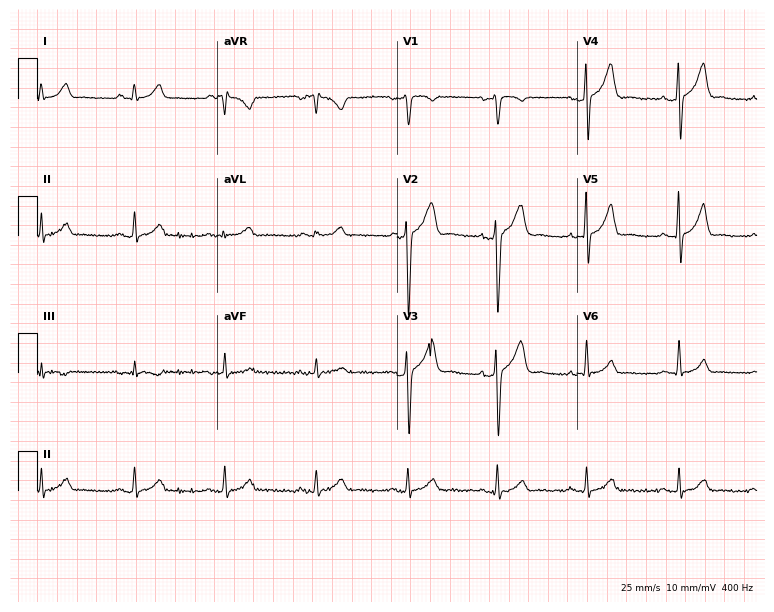
12-lead ECG (7.3-second recording at 400 Hz) from a man, 48 years old. Labelled as a normal ECG.